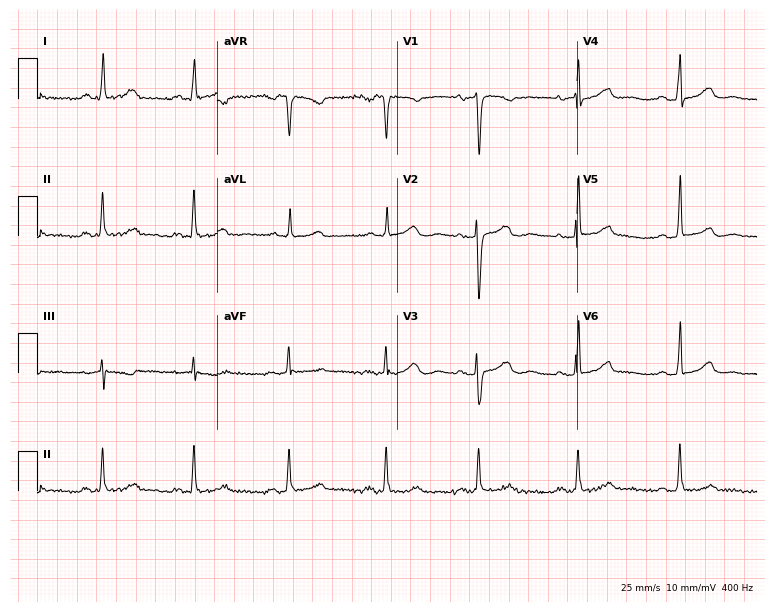
Standard 12-lead ECG recorded from a 45-year-old female patient. None of these six findings is recorded: first-degree AV block, right bundle branch block (RBBB), left bundle branch block (LBBB), sinus bradycardia, atrial fibrillation (AF), sinus tachycardia.